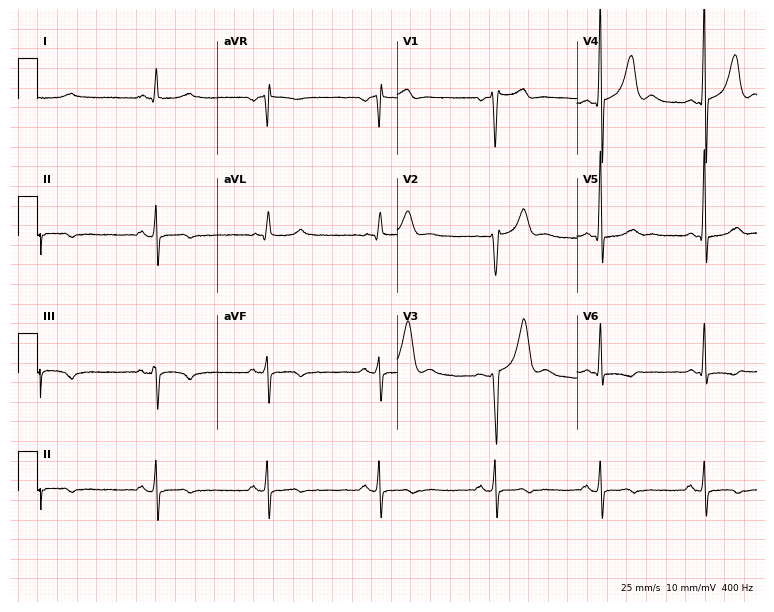
12-lead ECG from a man, 62 years old. No first-degree AV block, right bundle branch block (RBBB), left bundle branch block (LBBB), sinus bradycardia, atrial fibrillation (AF) or sinus tachycardia recorded for this tracing.